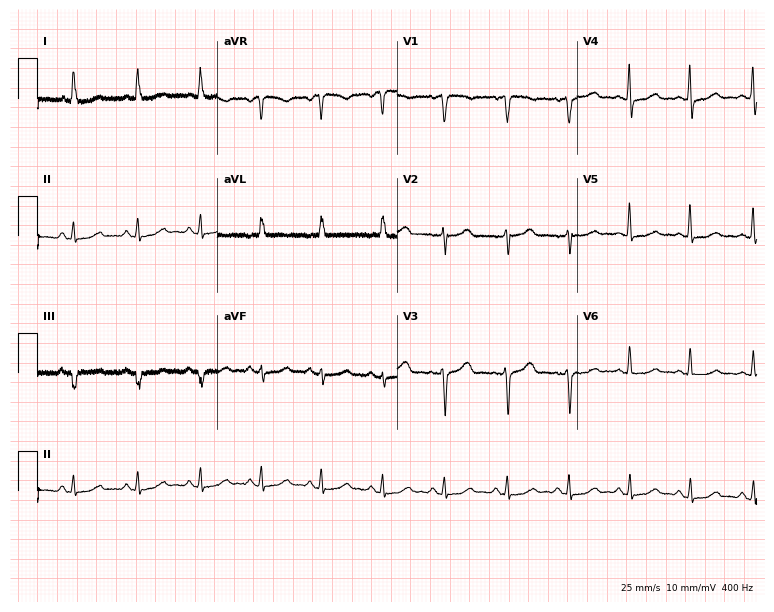
12-lead ECG from a female patient, 53 years old. Screened for six findings — first-degree AV block, right bundle branch block, left bundle branch block, sinus bradycardia, atrial fibrillation, sinus tachycardia — none is recorded.